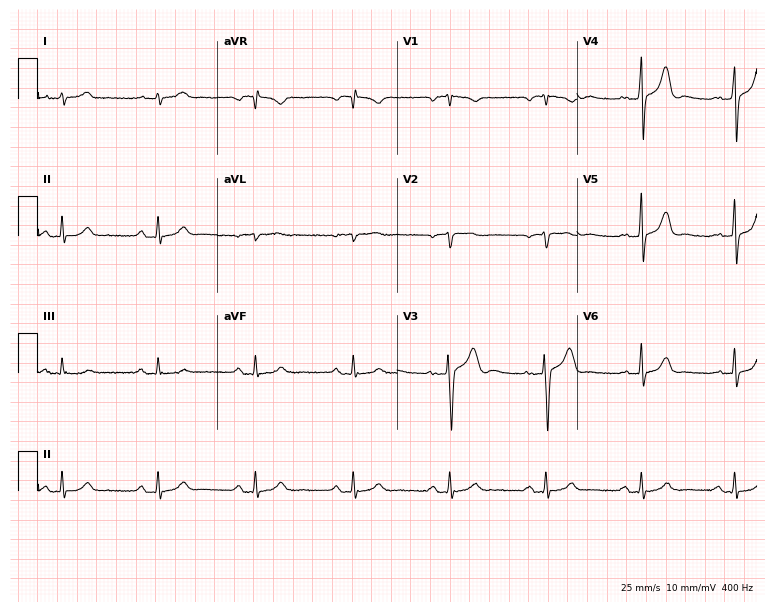
ECG — a 65-year-old man. Screened for six findings — first-degree AV block, right bundle branch block (RBBB), left bundle branch block (LBBB), sinus bradycardia, atrial fibrillation (AF), sinus tachycardia — none is recorded.